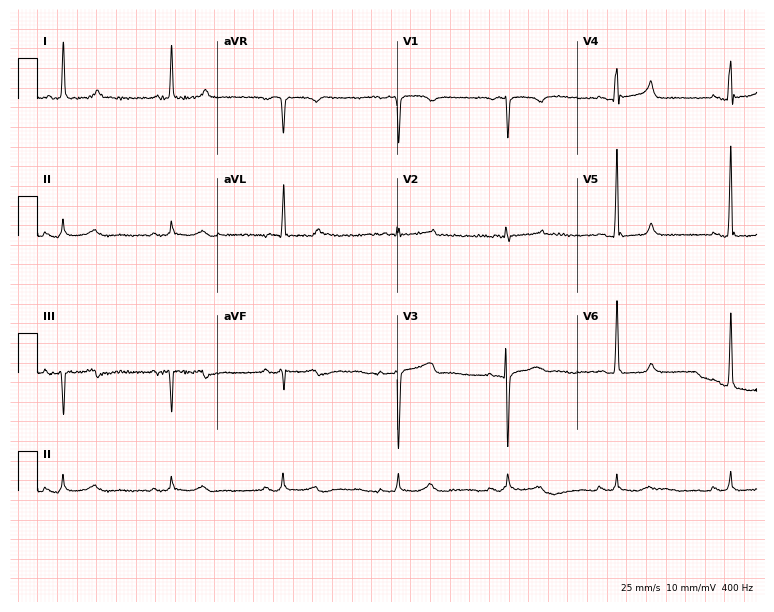
12-lead ECG from a woman, 77 years old. Recorded interpretation: within normal limits.